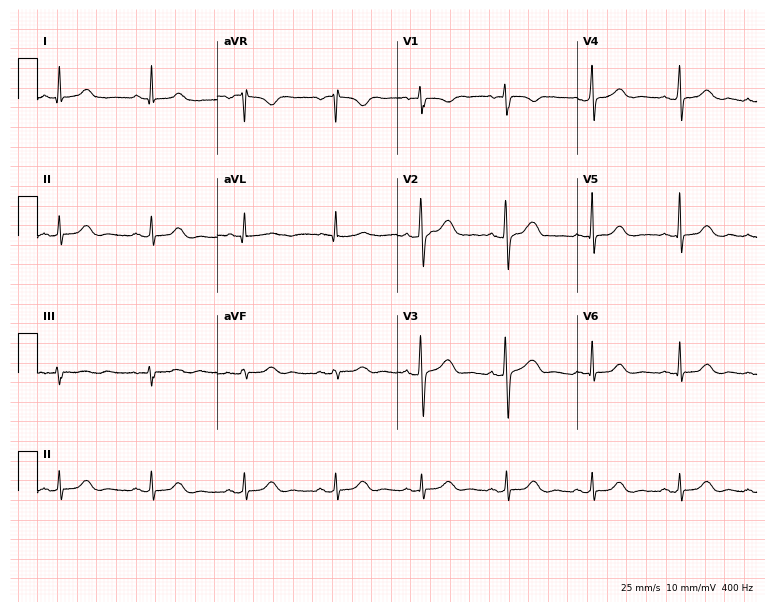
ECG — a 39-year-old female patient. Labelled as a normal ECG.